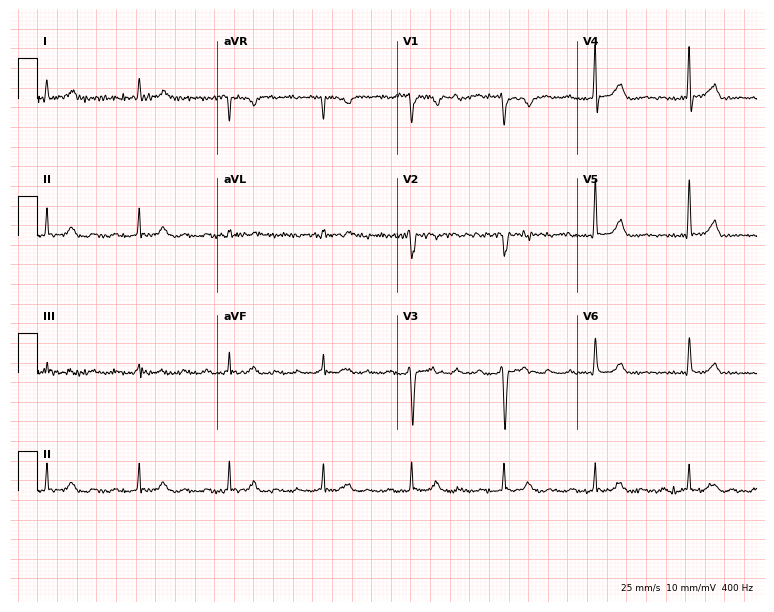
Standard 12-lead ECG recorded from an 81-year-old man (7.3-second recording at 400 Hz). None of these six findings is recorded: first-degree AV block, right bundle branch block, left bundle branch block, sinus bradycardia, atrial fibrillation, sinus tachycardia. Other findings, if any, are not listed.